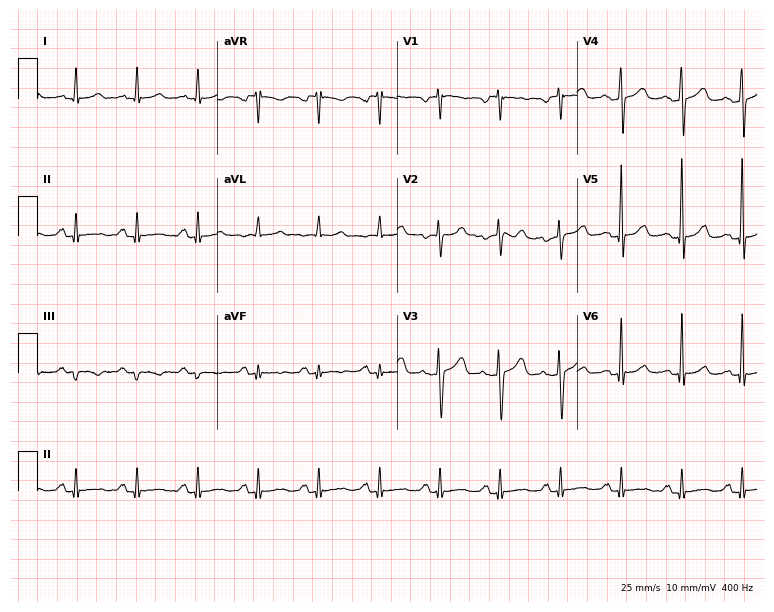
ECG — a 40-year-old female. Screened for six findings — first-degree AV block, right bundle branch block (RBBB), left bundle branch block (LBBB), sinus bradycardia, atrial fibrillation (AF), sinus tachycardia — none is recorded. Findings outside these six are not listed.